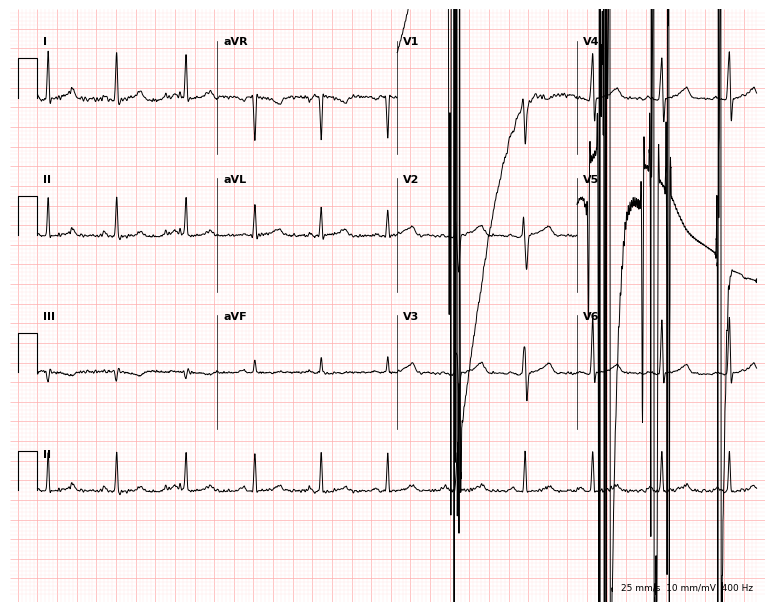
12-lead ECG from a 29-year-old woman. Labelled as a normal ECG.